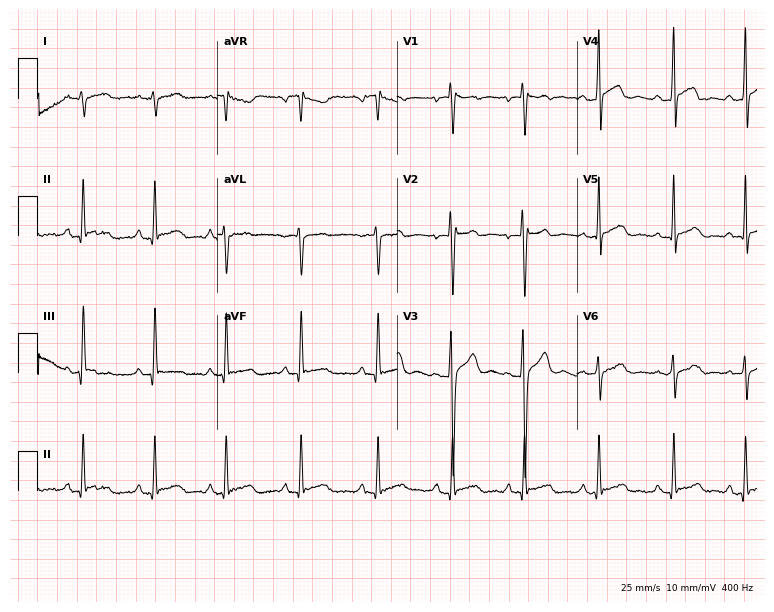
12-lead ECG from a 17-year-old man (7.3-second recording at 400 Hz). No first-degree AV block, right bundle branch block, left bundle branch block, sinus bradycardia, atrial fibrillation or sinus tachycardia recorded for this tracing. Only these six findings were labelled.